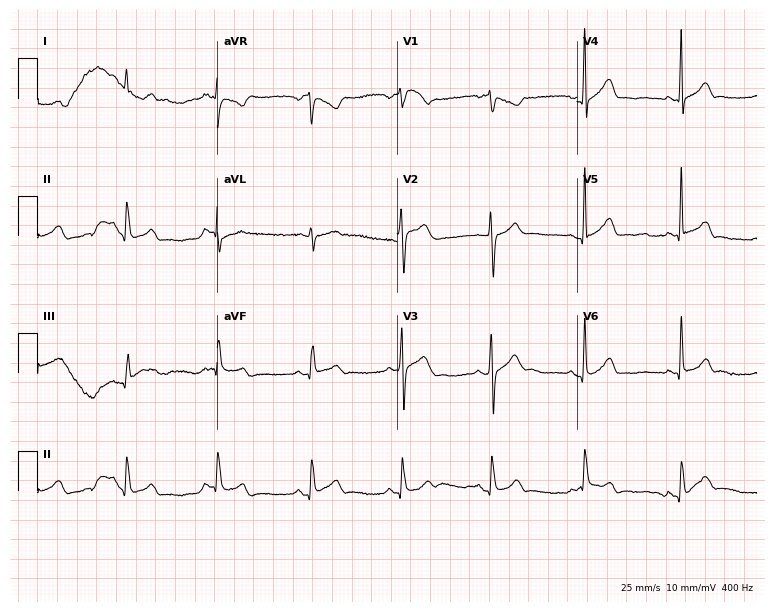
Resting 12-lead electrocardiogram. Patient: a male, 36 years old. None of these six findings is recorded: first-degree AV block, right bundle branch block (RBBB), left bundle branch block (LBBB), sinus bradycardia, atrial fibrillation (AF), sinus tachycardia.